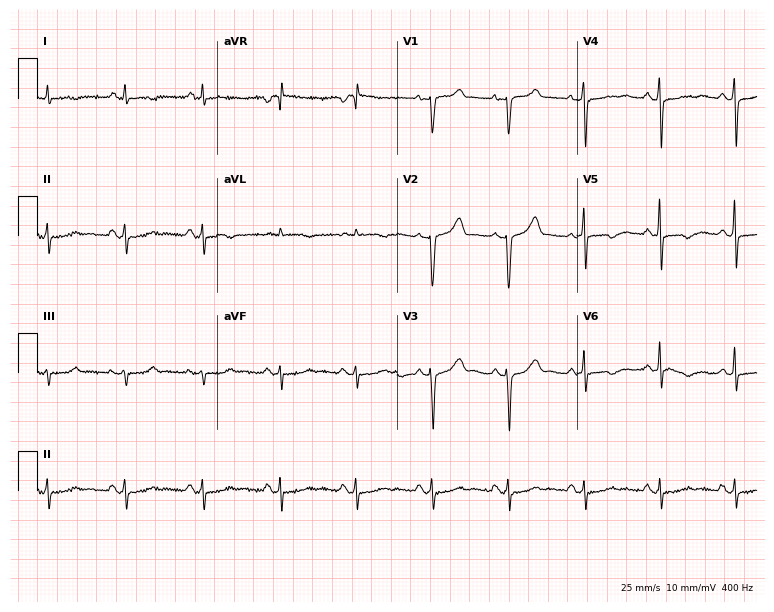
Resting 12-lead electrocardiogram (7.3-second recording at 400 Hz). Patient: a 62-year-old female. None of these six findings is recorded: first-degree AV block, right bundle branch block (RBBB), left bundle branch block (LBBB), sinus bradycardia, atrial fibrillation (AF), sinus tachycardia. Only these six findings were labelled.